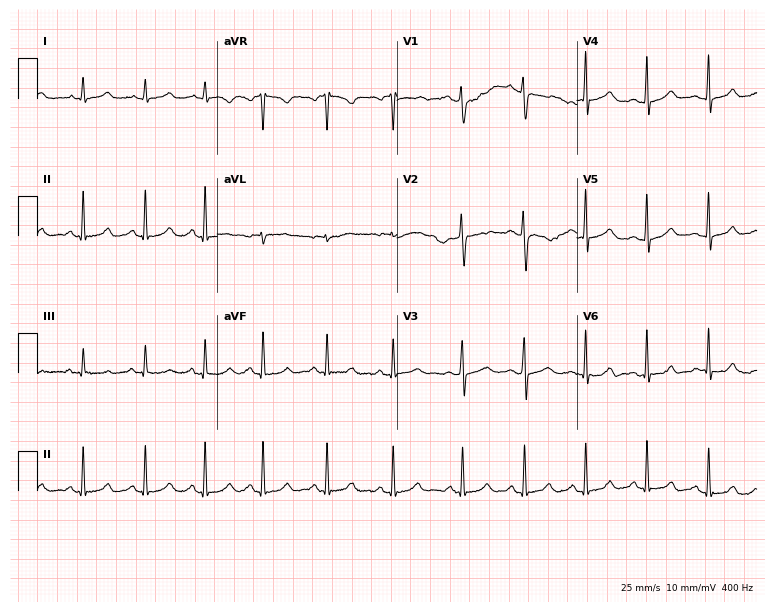
Standard 12-lead ECG recorded from a 20-year-old female patient. Read as a normal ECG.